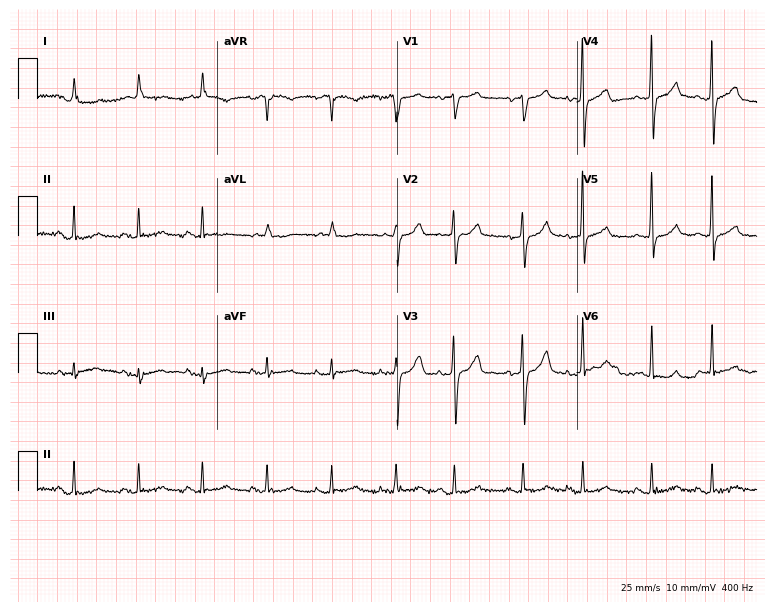
12-lead ECG (7.3-second recording at 400 Hz) from an 81-year-old woman. Screened for six findings — first-degree AV block, right bundle branch block, left bundle branch block, sinus bradycardia, atrial fibrillation, sinus tachycardia — none is recorded.